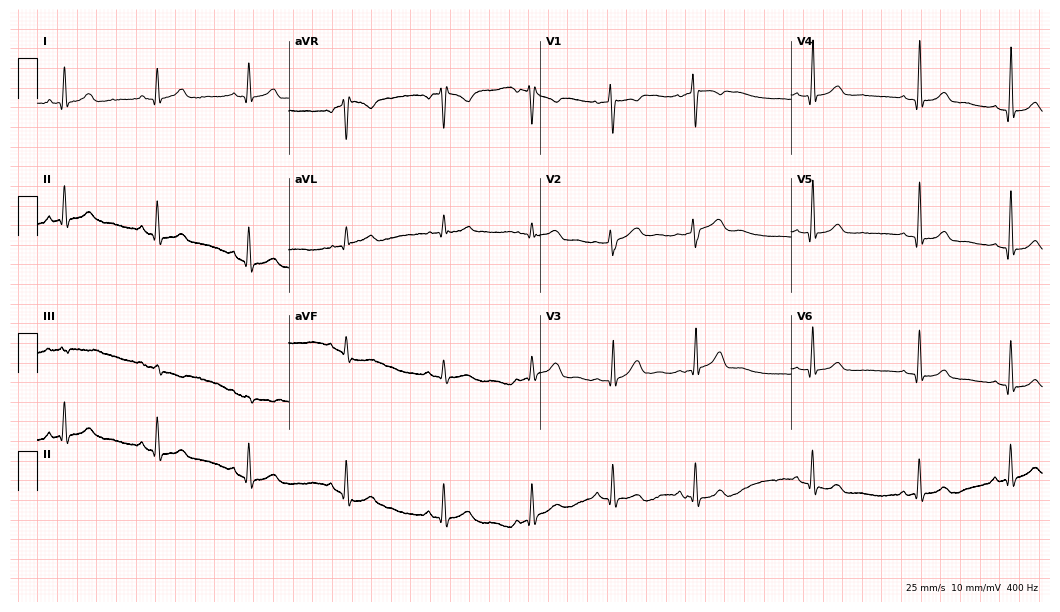
12-lead ECG from a female, 33 years old. Recorded interpretation: within normal limits.